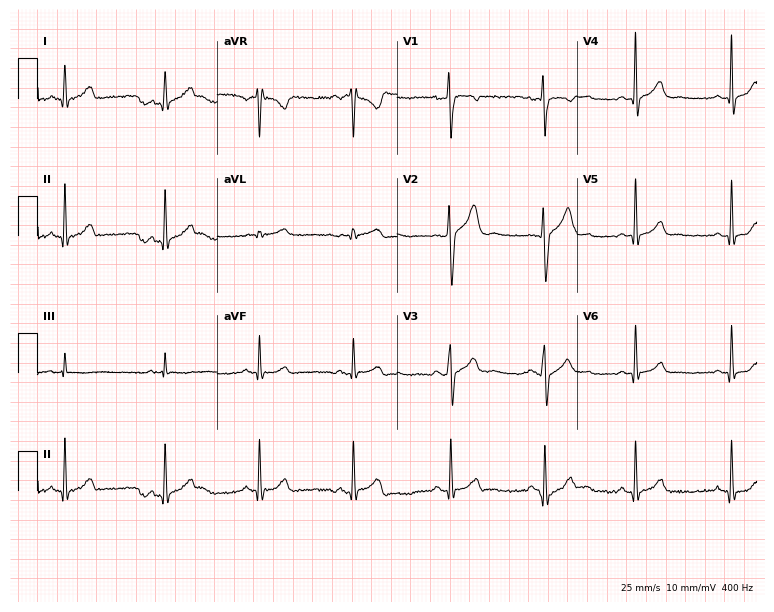
Standard 12-lead ECG recorded from a 21-year-old man (7.3-second recording at 400 Hz). Read as a normal ECG.